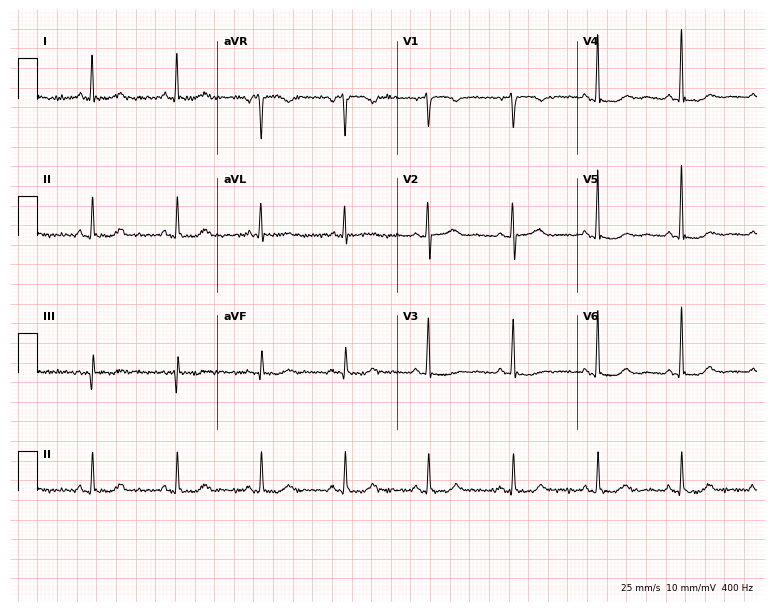
Electrocardiogram, a woman, 65 years old. Overall reading on record: normal ECG.